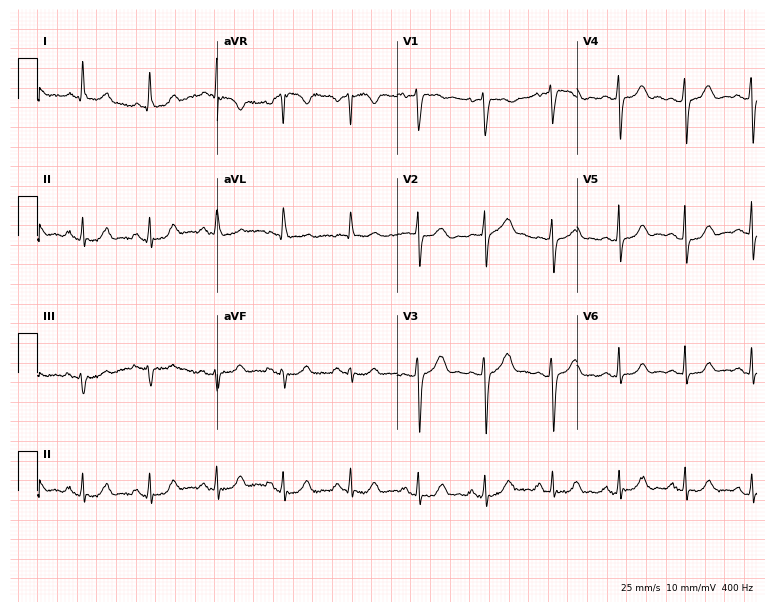
12-lead ECG from a woman, 77 years old. Labelled as a normal ECG.